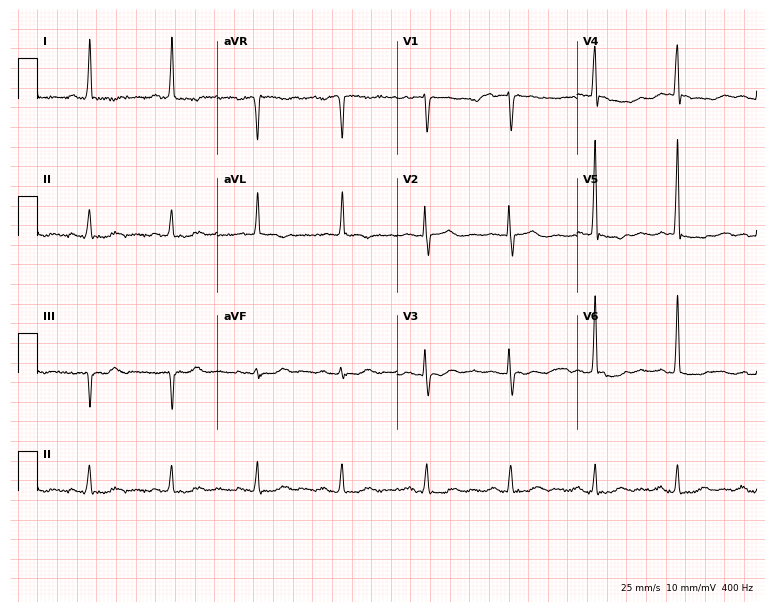
Electrocardiogram, a female patient, 81 years old. Of the six screened findings (first-degree AV block, right bundle branch block, left bundle branch block, sinus bradycardia, atrial fibrillation, sinus tachycardia), none is recorded. Other findings, if any, are not listed.